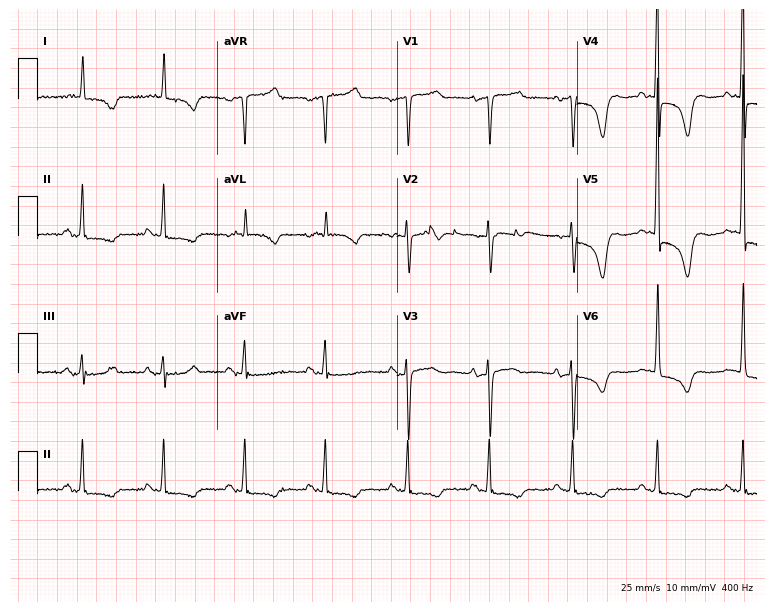
12-lead ECG from a 69-year-old female. No first-degree AV block, right bundle branch block, left bundle branch block, sinus bradycardia, atrial fibrillation or sinus tachycardia recorded for this tracing.